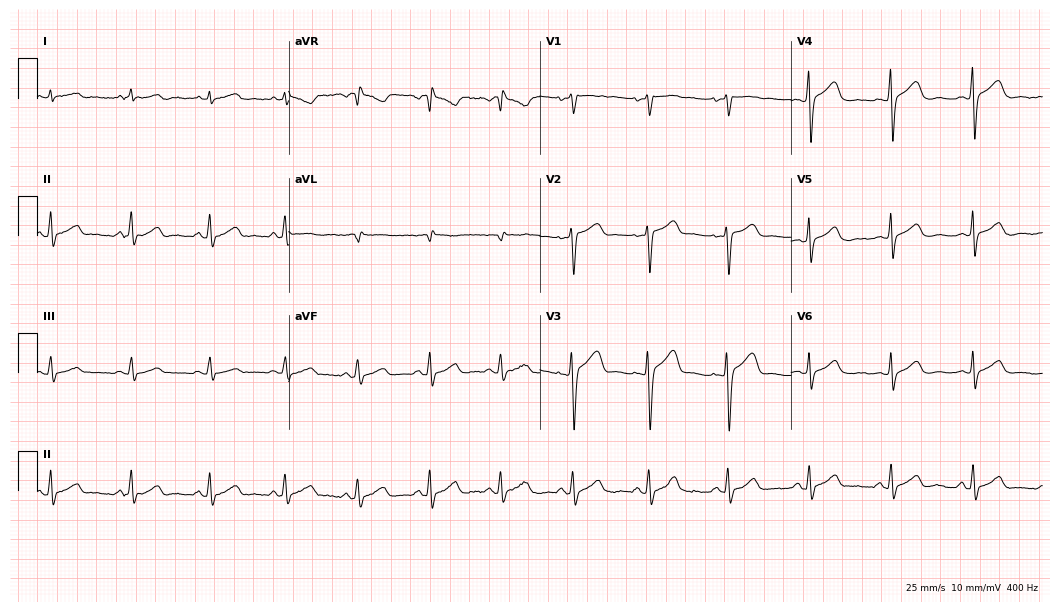
12-lead ECG from a female, 51 years old. Recorded interpretation: within normal limits.